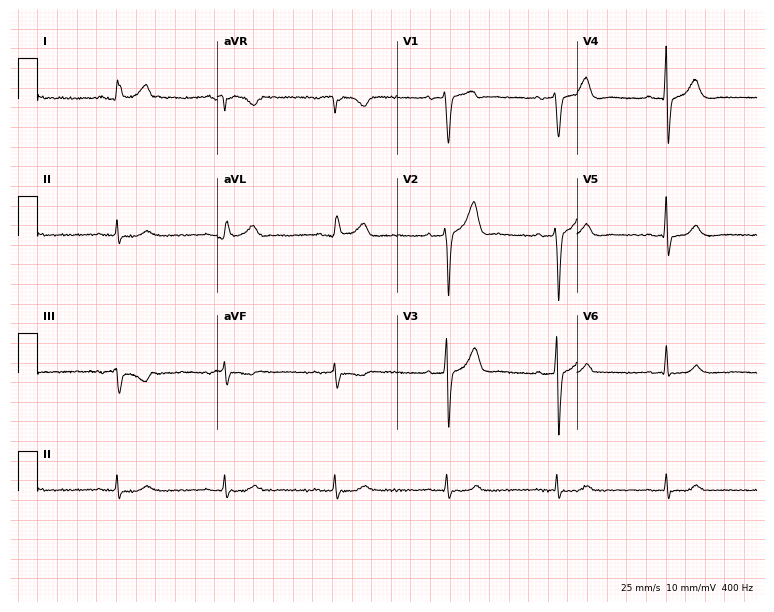
12-lead ECG from a man, 66 years old. Recorded interpretation: within normal limits.